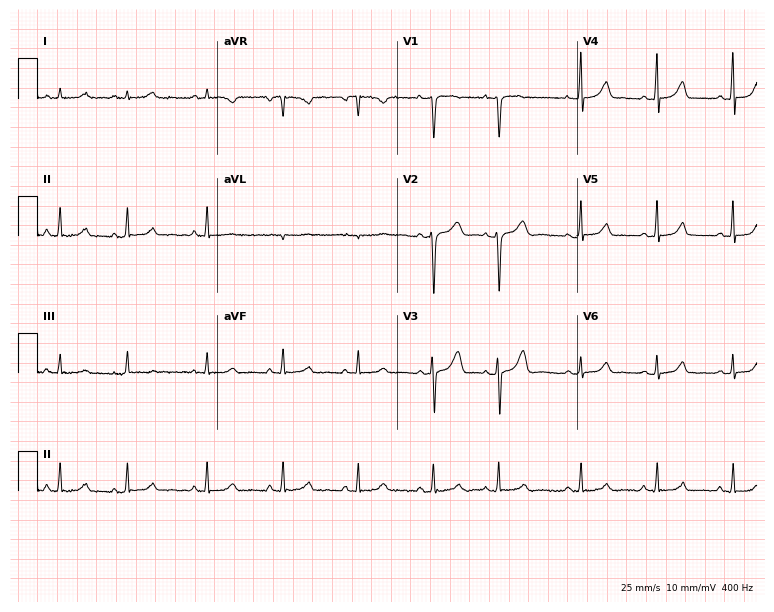
Standard 12-lead ECG recorded from a woman, 25 years old. None of these six findings is recorded: first-degree AV block, right bundle branch block, left bundle branch block, sinus bradycardia, atrial fibrillation, sinus tachycardia.